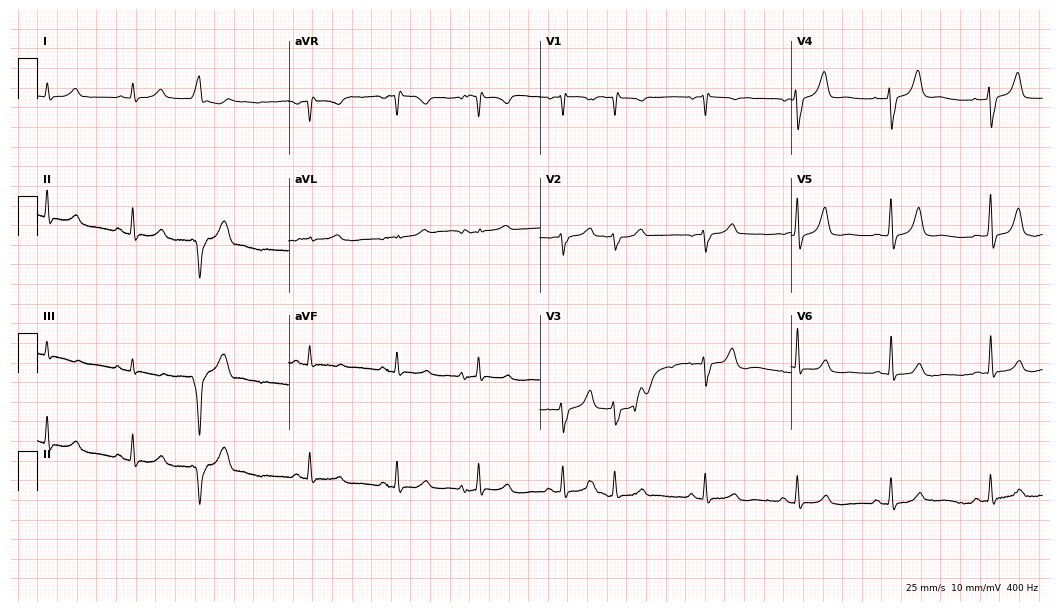
Electrocardiogram, a 75-year-old male. Of the six screened findings (first-degree AV block, right bundle branch block, left bundle branch block, sinus bradycardia, atrial fibrillation, sinus tachycardia), none is recorded.